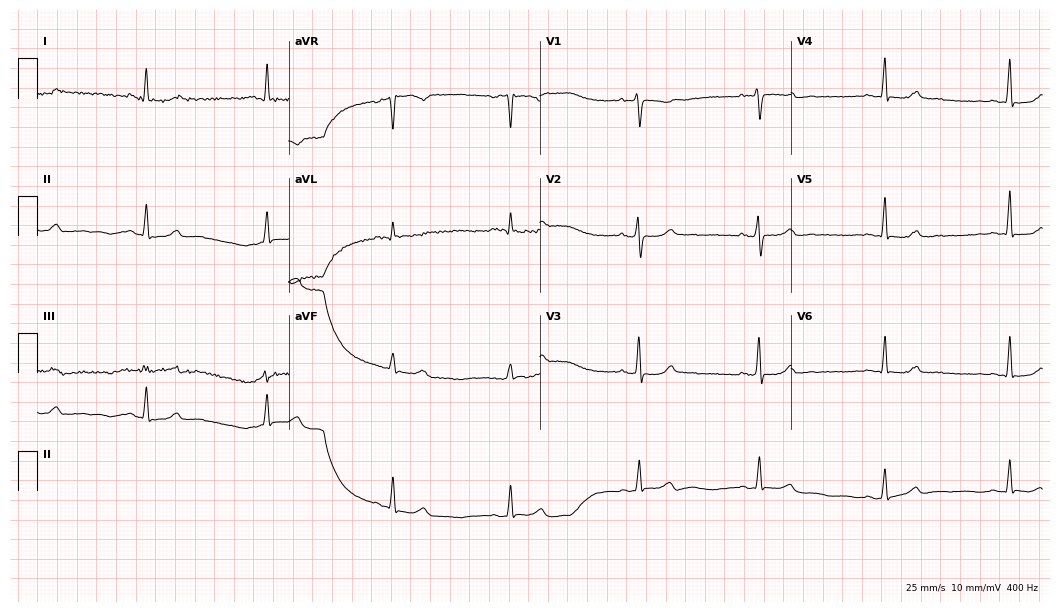
ECG — a 51-year-old female. Screened for six findings — first-degree AV block, right bundle branch block (RBBB), left bundle branch block (LBBB), sinus bradycardia, atrial fibrillation (AF), sinus tachycardia — none is recorded.